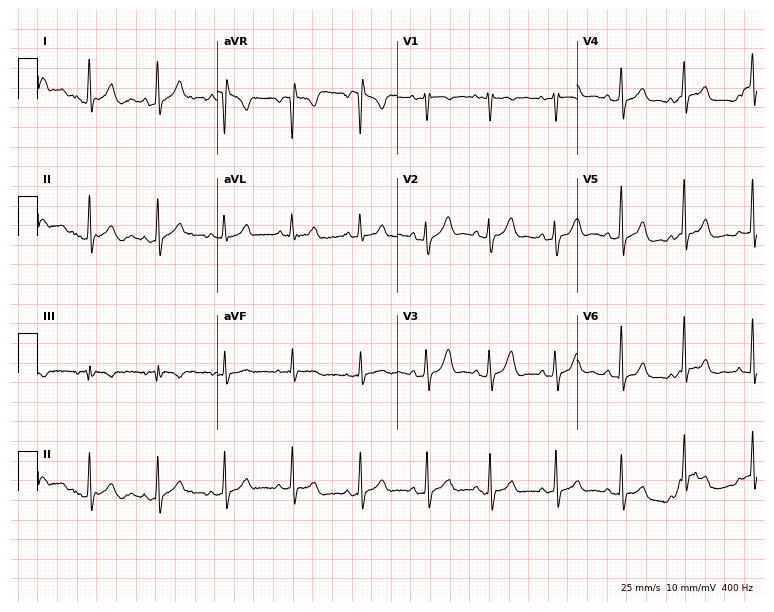
Standard 12-lead ECG recorded from a 21-year-old woman. None of these six findings is recorded: first-degree AV block, right bundle branch block, left bundle branch block, sinus bradycardia, atrial fibrillation, sinus tachycardia.